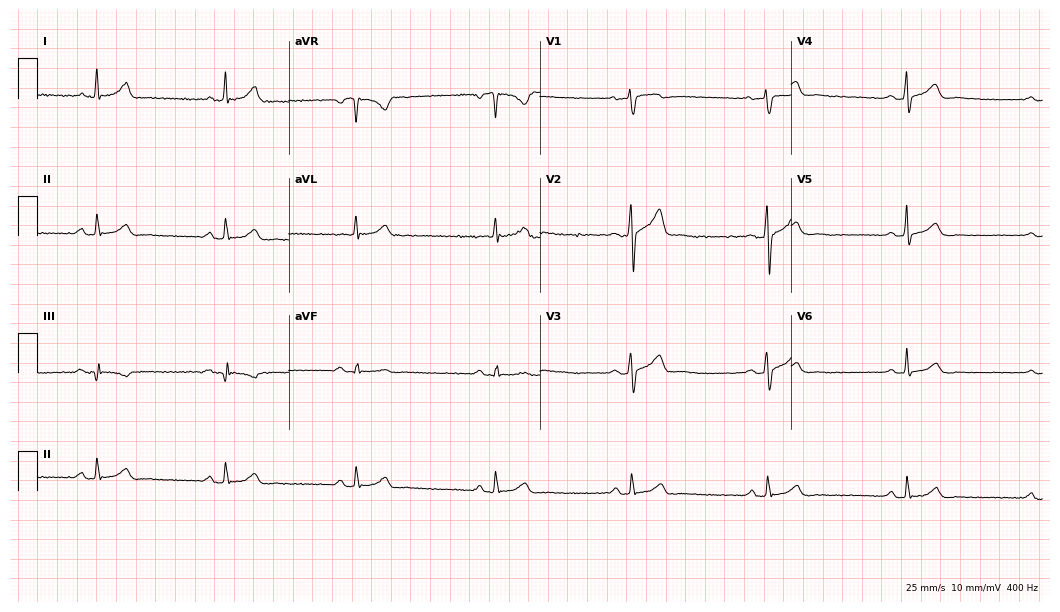
Electrocardiogram, a 55-year-old male patient. Interpretation includes sinus bradycardia (a sinus rate of 50 beats per minute or less).